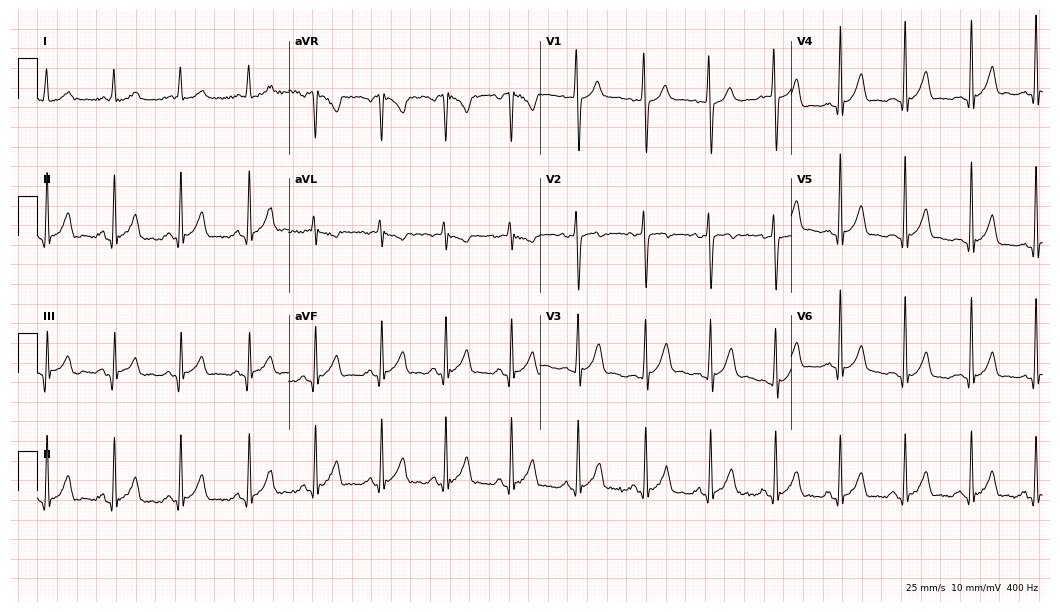
12-lead ECG from a male patient, 17 years old. Recorded interpretation: within normal limits.